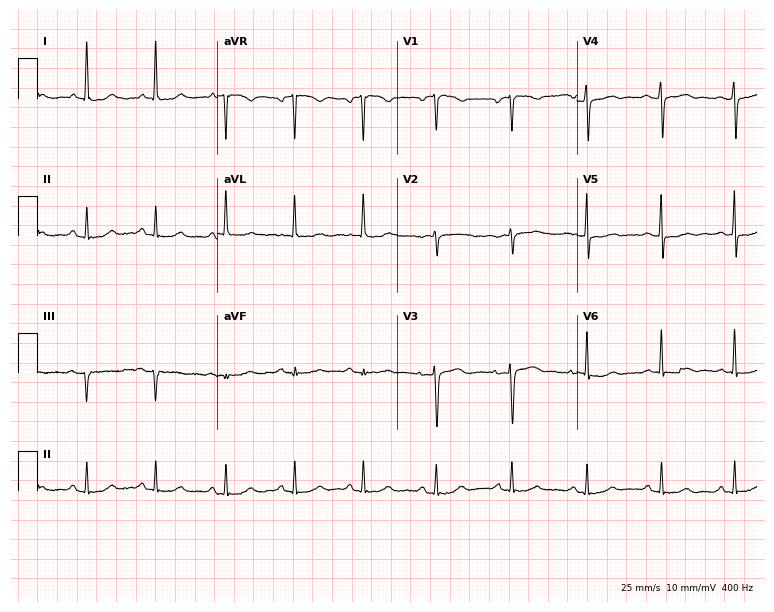
12-lead ECG from a woman, 59 years old. Labelled as a normal ECG.